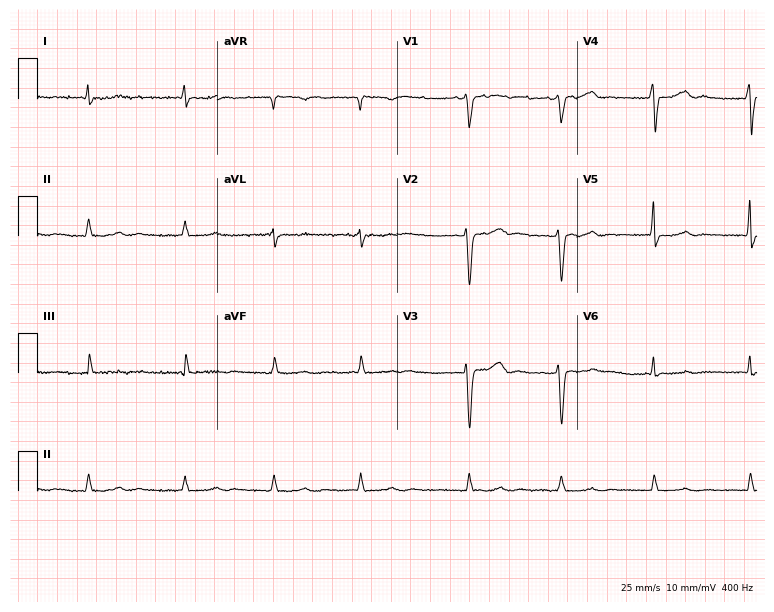
Standard 12-lead ECG recorded from a woman, 85 years old. The tracing shows atrial fibrillation (AF).